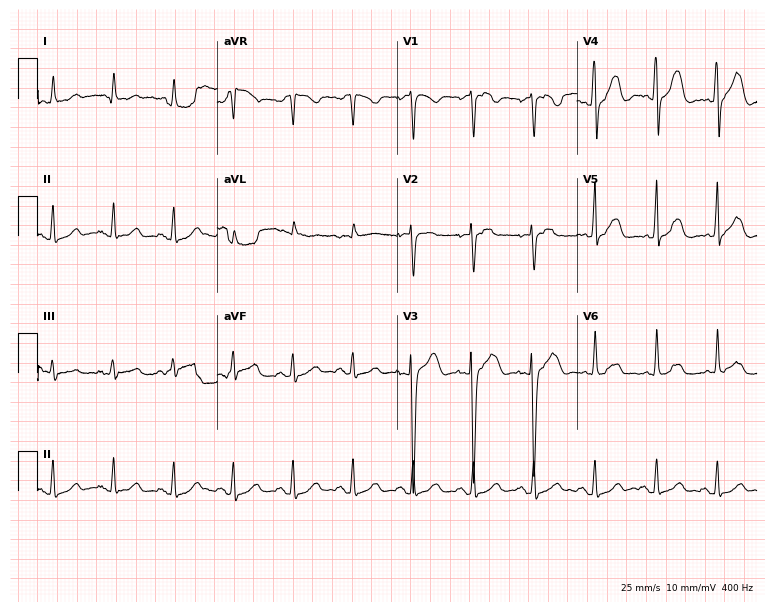
12-lead ECG (7.3-second recording at 400 Hz) from a female, 46 years old. Labelled as a normal ECG.